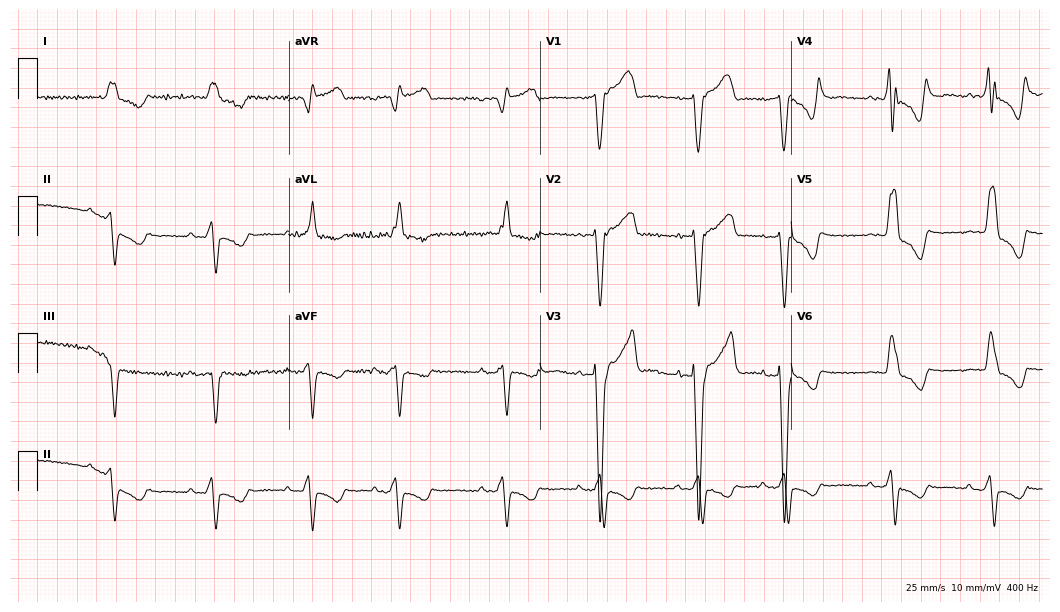
12-lead ECG from a man, 85 years old. No first-degree AV block, right bundle branch block, left bundle branch block, sinus bradycardia, atrial fibrillation or sinus tachycardia recorded for this tracing.